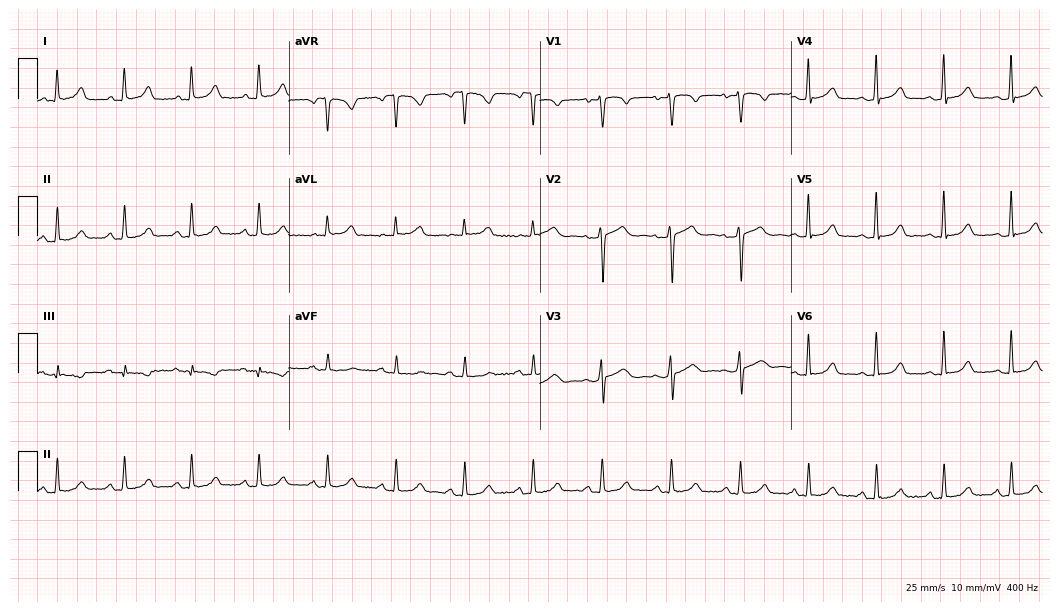
Resting 12-lead electrocardiogram (10.2-second recording at 400 Hz). Patient: a woman, 45 years old. None of these six findings is recorded: first-degree AV block, right bundle branch block (RBBB), left bundle branch block (LBBB), sinus bradycardia, atrial fibrillation (AF), sinus tachycardia. Findings outside these six are not listed.